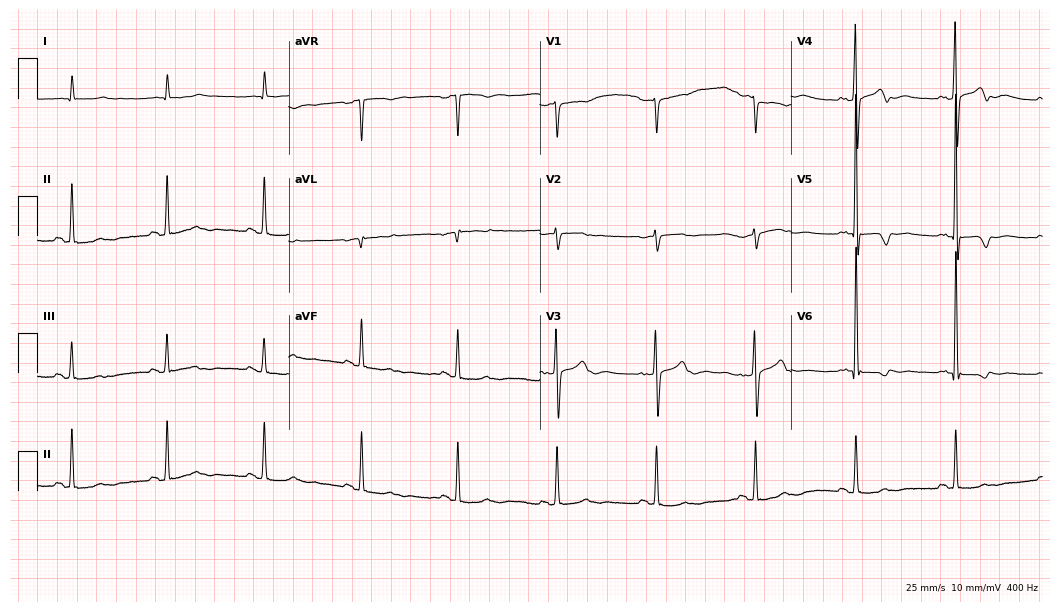
Standard 12-lead ECG recorded from a male patient, 74 years old. None of these six findings is recorded: first-degree AV block, right bundle branch block, left bundle branch block, sinus bradycardia, atrial fibrillation, sinus tachycardia. Findings outside these six are not listed.